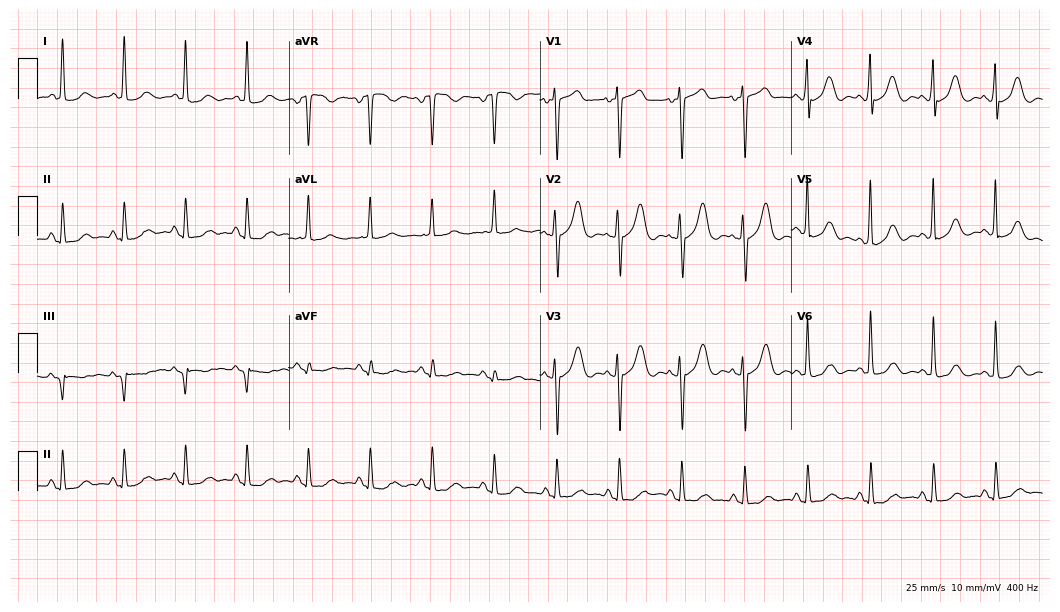
Resting 12-lead electrocardiogram. Patient: a 77-year-old female. Read as a normal ECG.